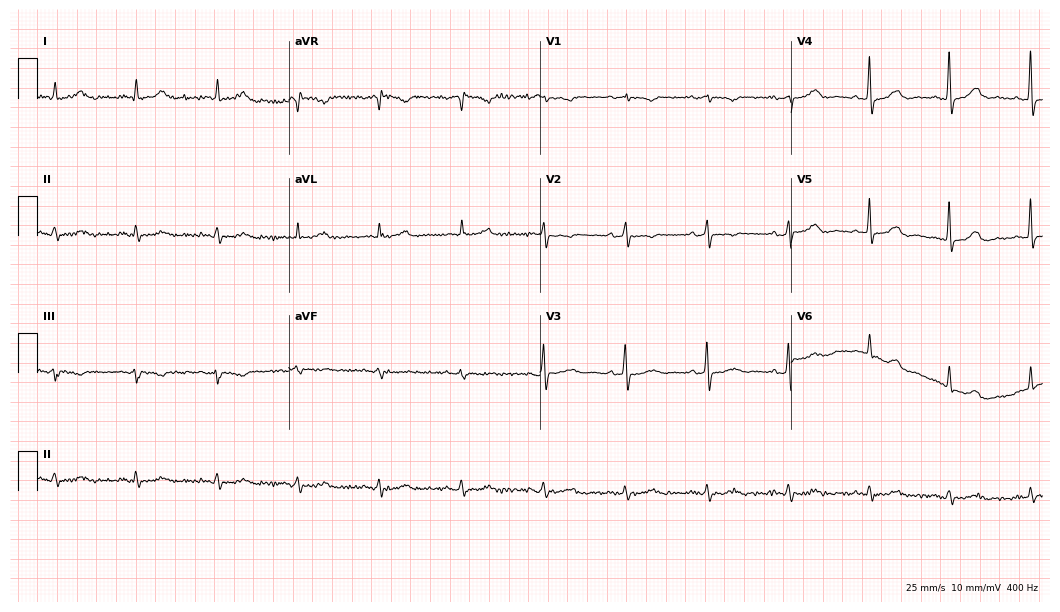
Electrocardiogram (10.2-second recording at 400 Hz), a female, 85 years old. Of the six screened findings (first-degree AV block, right bundle branch block (RBBB), left bundle branch block (LBBB), sinus bradycardia, atrial fibrillation (AF), sinus tachycardia), none is recorded. Findings outside these six are not listed.